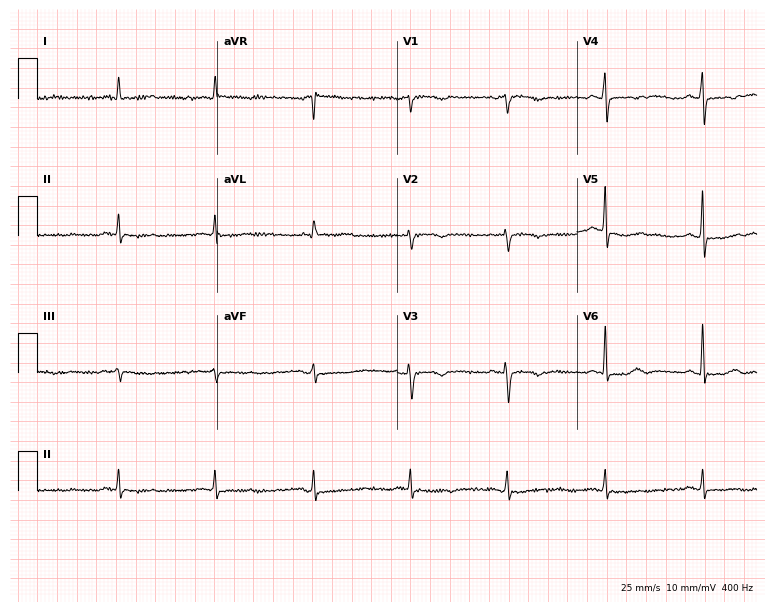
Electrocardiogram, a woman, 80 years old. Of the six screened findings (first-degree AV block, right bundle branch block, left bundle branch block, sinus bradycardia, atrial fibrillation, sinus tachycardia), none is recorded.